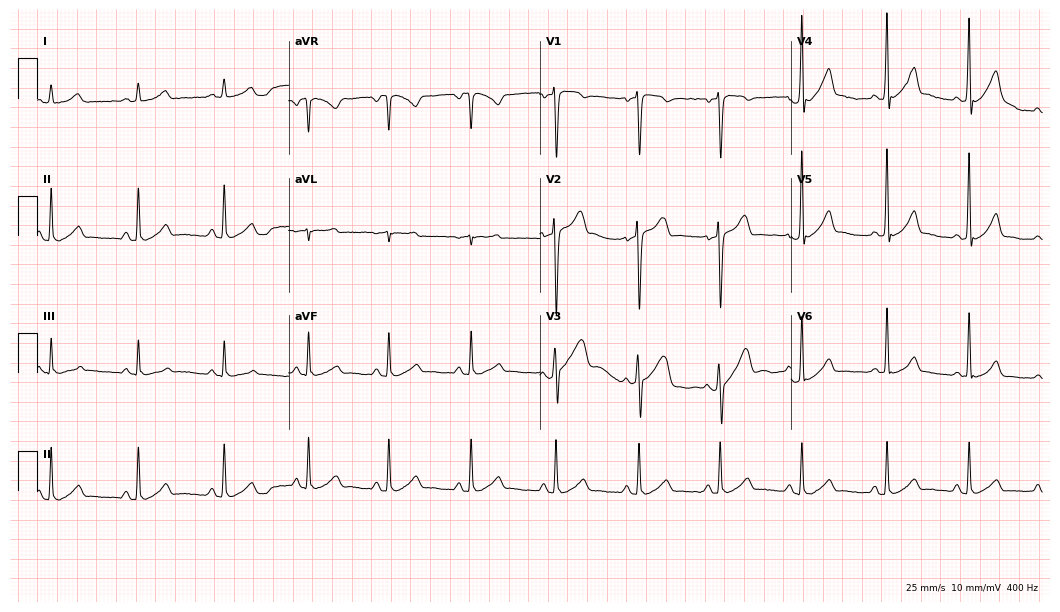
12-lead ECG from a man, 51 years old. Labelled as a normal ECG.